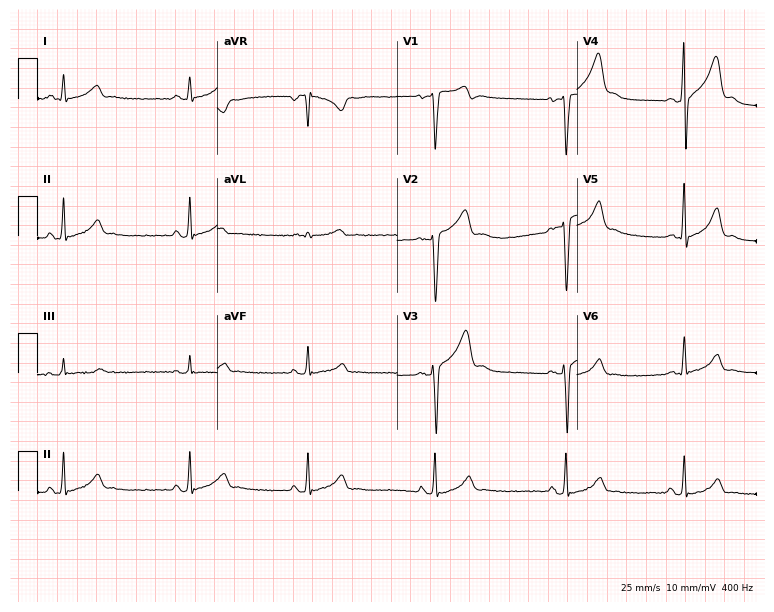
Resting 12-lead electrocardiogram (7.3-second recording at 400 Hz). Patient: a male, 19 years old. None of these six findings is recorded: first-degree AV block, right bundle branch block, left bundle branch block, sinus bradycardia, atrial fibrillation, sinus tachycardia. Findings outside these six are not listed.